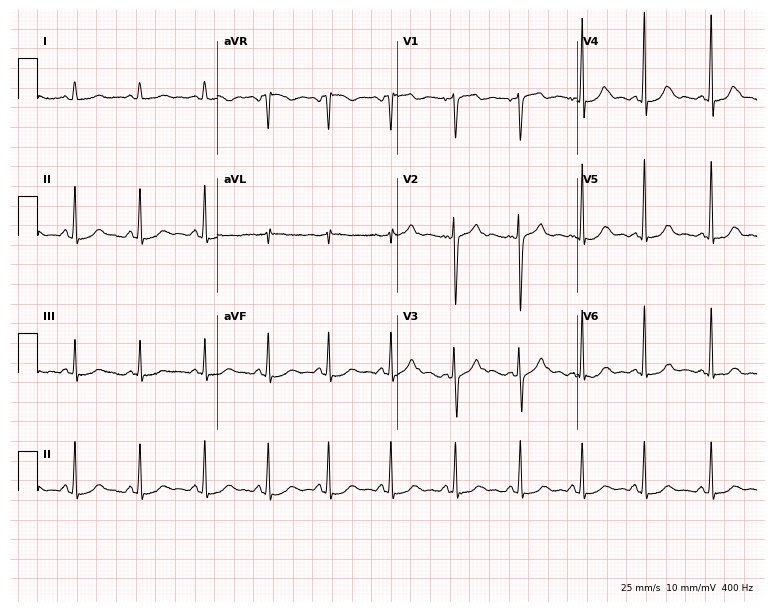
Electrocardiogram (7.3-second recording at 400 Hz), a female patient, 43 years old. Overall reading on record: normal ECG.